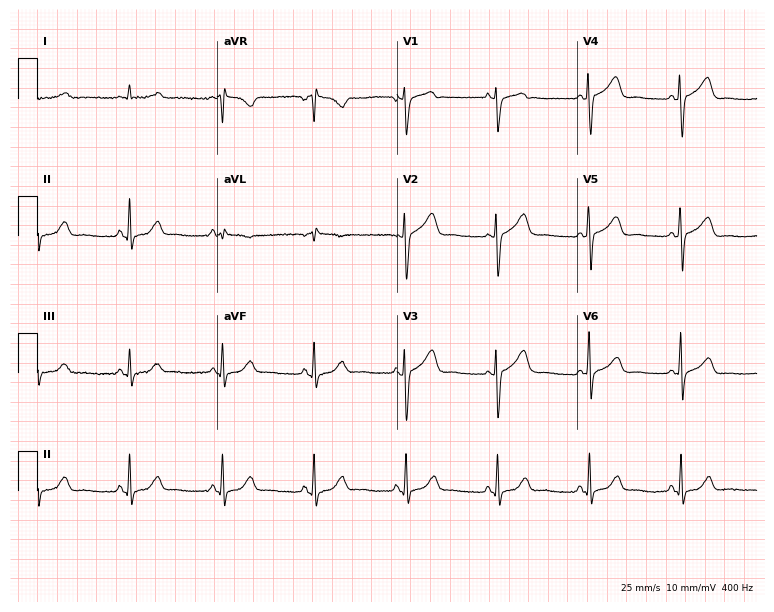
Electrocardiogram, a 74-year-old female. Overall reading on record: normal ECG.